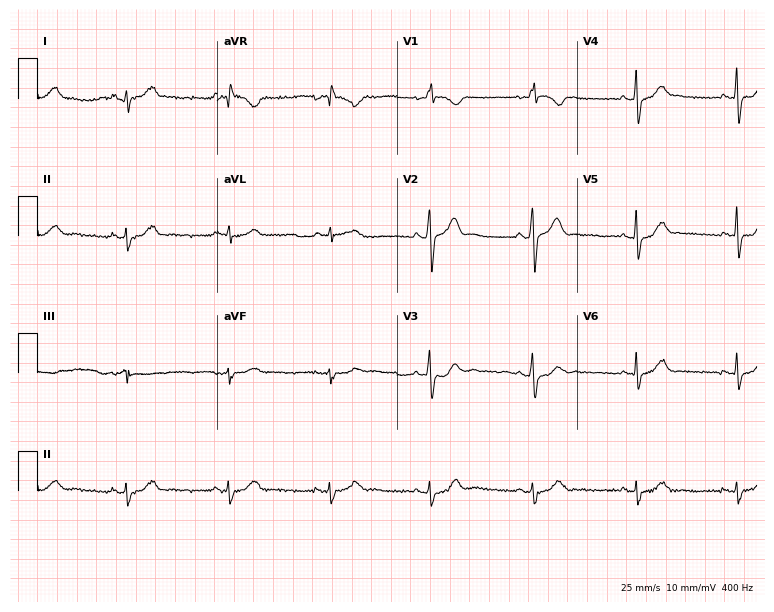
Electrocardiogram (7.3-second recording at 400 Hz), a male patient, 47 years old. Of the six screened findings (first-degree AV block, right bundle branch block (RBBB), left bundle branch block (LBBB), sinus bradycardia, atrial fibrillation (AF), sinus tachycardia), none is recorded.